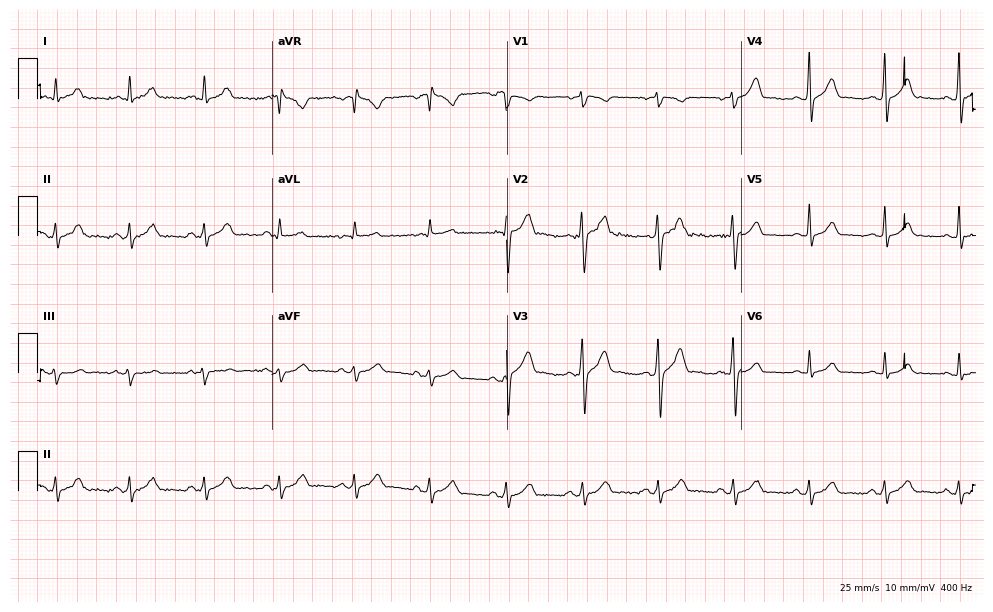
Standard 12-lead ECG recorded from a 30-year-old man (9.6-second recording at 400 Hz). Read as a normal ECG.